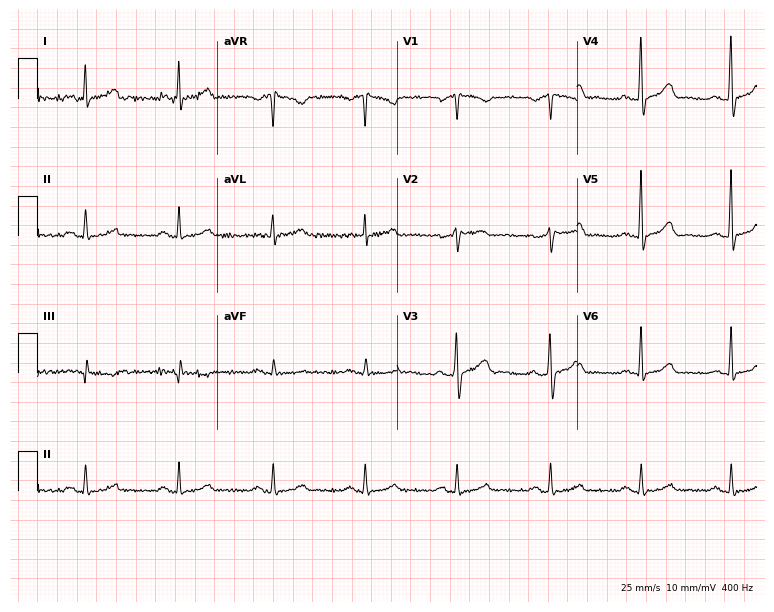
Resting 12-lead electrocardiogram (7.3-second recording at 400 Hz). Patient: a male, 54 years old. Read as a normal ECG.